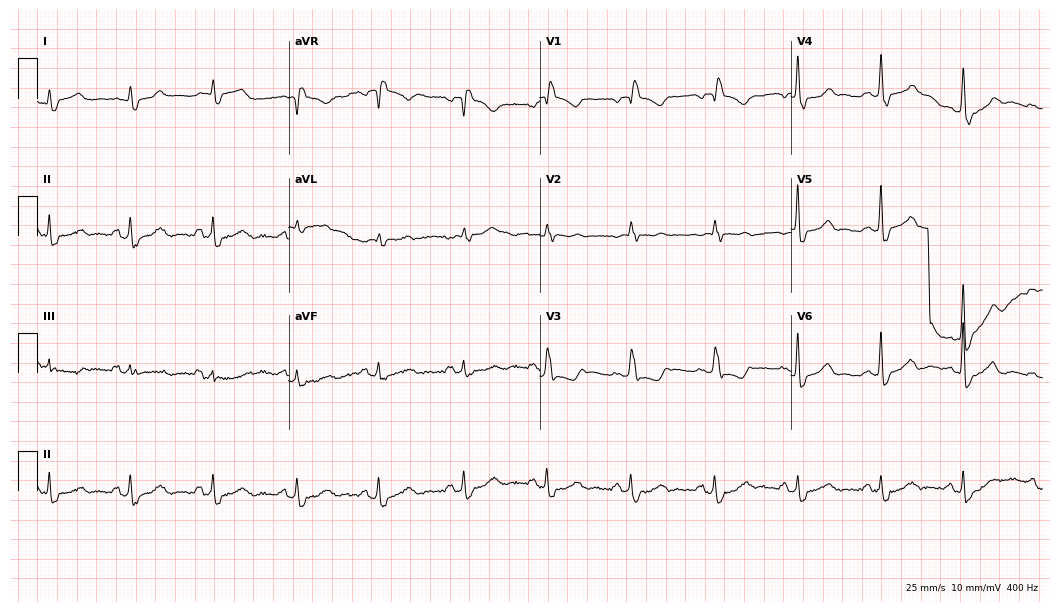
12-lead ECG from a male patient, 82 years old (10.2-second recording at 400 Hz). Shows right bundle branch block.